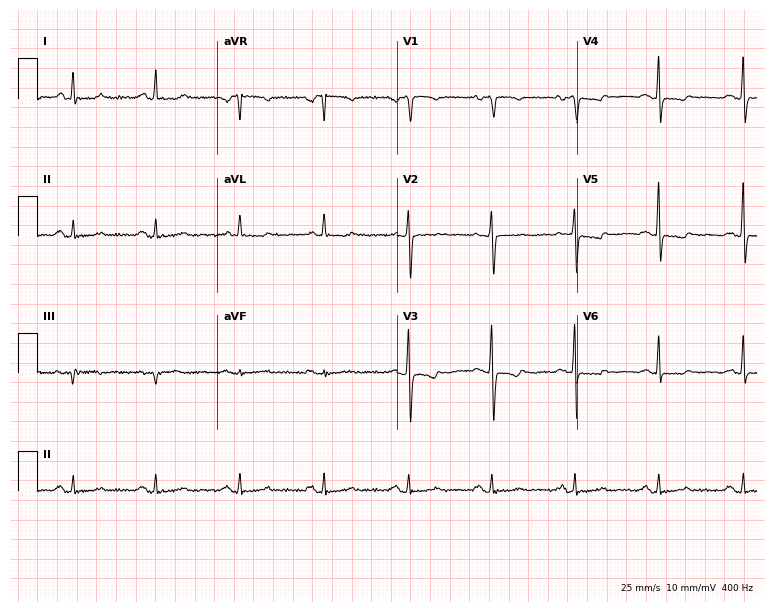
Electrocardiogram, a woman, 76 years old. Overall reading on record: normal ECG.